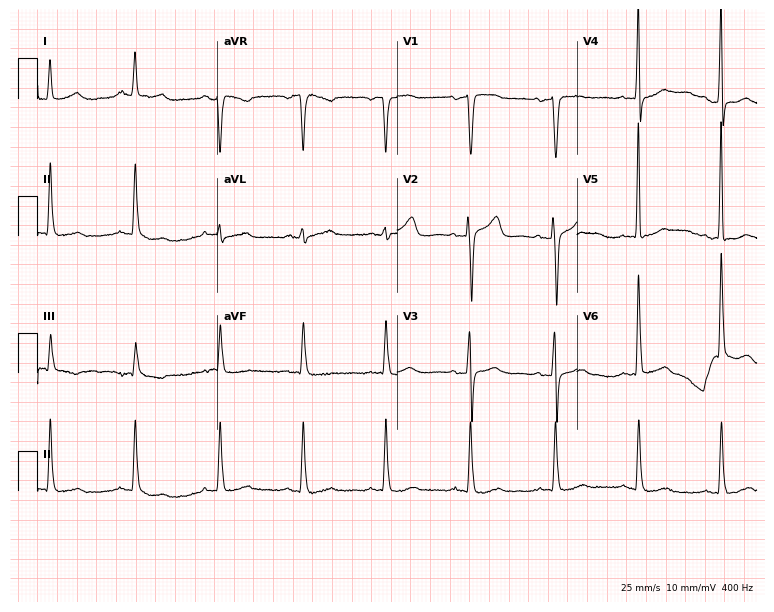
Electrocardiogram (7.3-second recording at 400 Hz), a female, 61 years old. Of the six screened findings (first-degree AV block, right bundle branch block, left bundle branch block, sinus bradycardia, atrial fibrillation, sinus tachycardia), none is recorded.